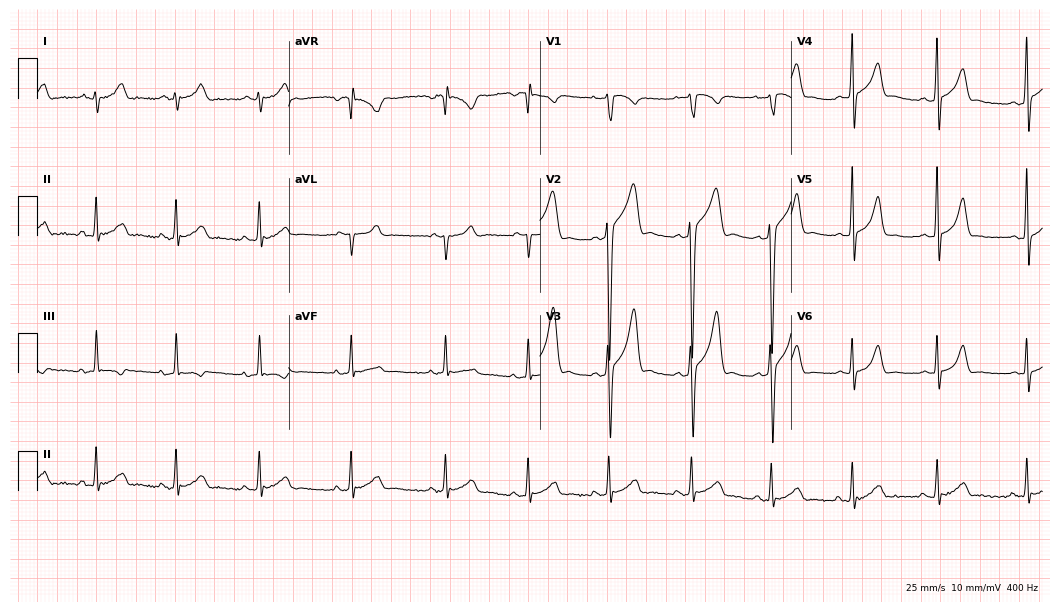
Electrocardiogram, a man, 20 years old. Overall reading on record: normal ECG.